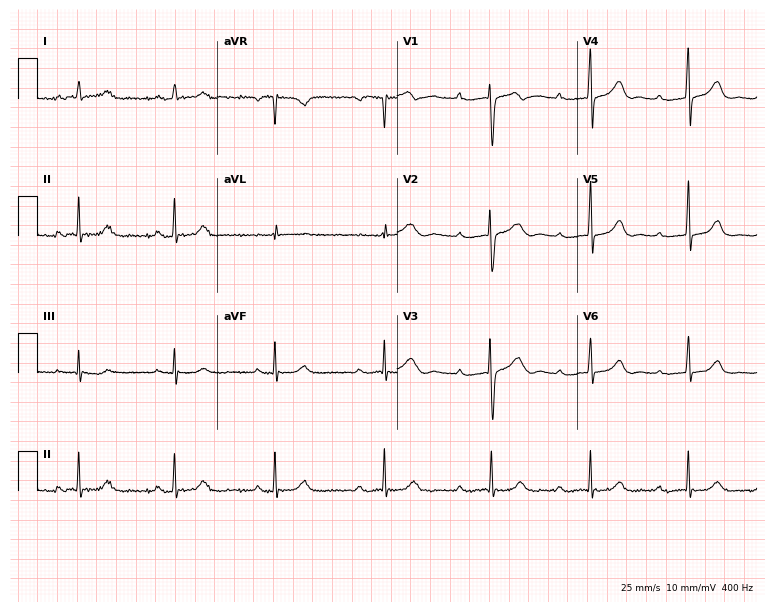
Electrocardiogram (7.3-second recording at 400 Hz), a female, 25 years old. Interpretation includes first-degree AV block.